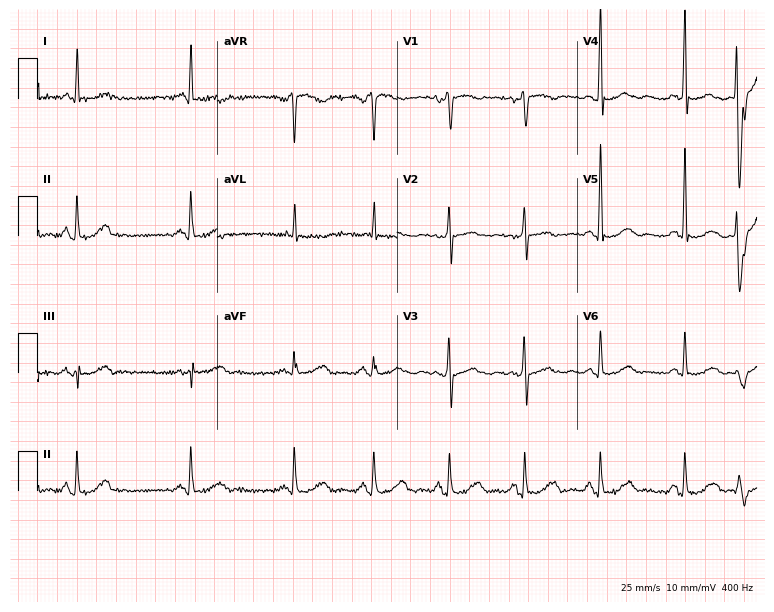
12-lead ECG (7.3-second recording at 400 Hz) from a woman, 49 years old. Screened for six findings — first-degree AV block, right bundle branch block, left bundle branch block, sinus bradycardia, atrial fibrillation, sinus tachycardia — none is recorded.